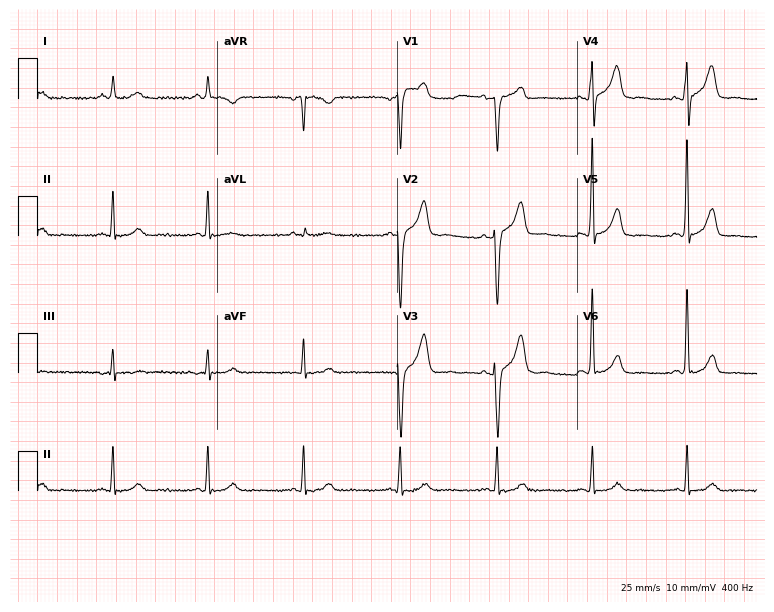
Electrocardiogram, a male patient, 71 years old. Of the six screened findings (first-degree AV block, right bundle branch block, left bundle branch block, sinus bradycardia, atrial fibrillation, sinus tachycardia), none is recorded.